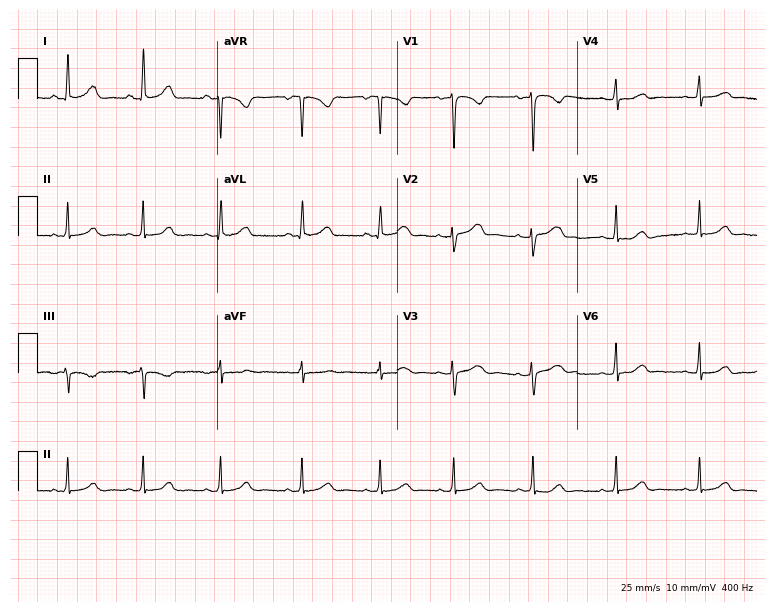
Resting 12-lead electrocardiogram. Patient: a female, 27 years old. Read as a normal ECG.